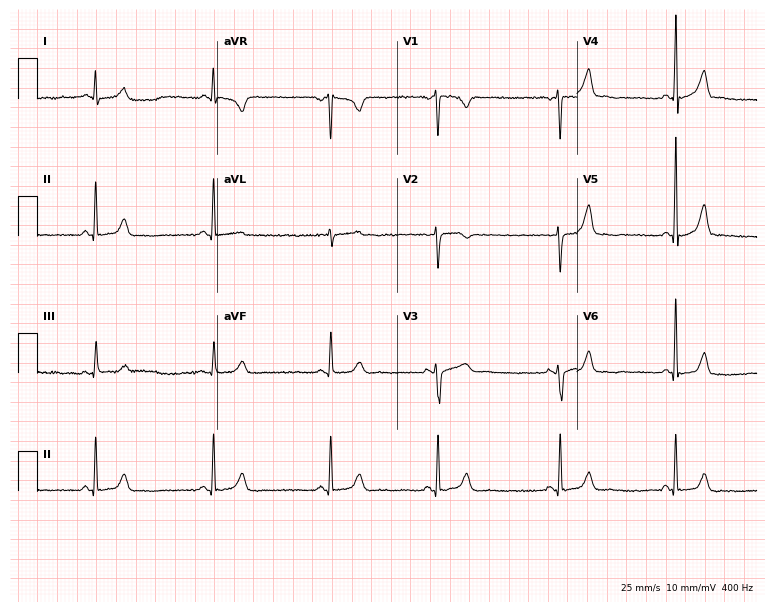
Resting 12-lead electrocardiogram. Patient: a 32-year-old woman. Read as a normal ECG.